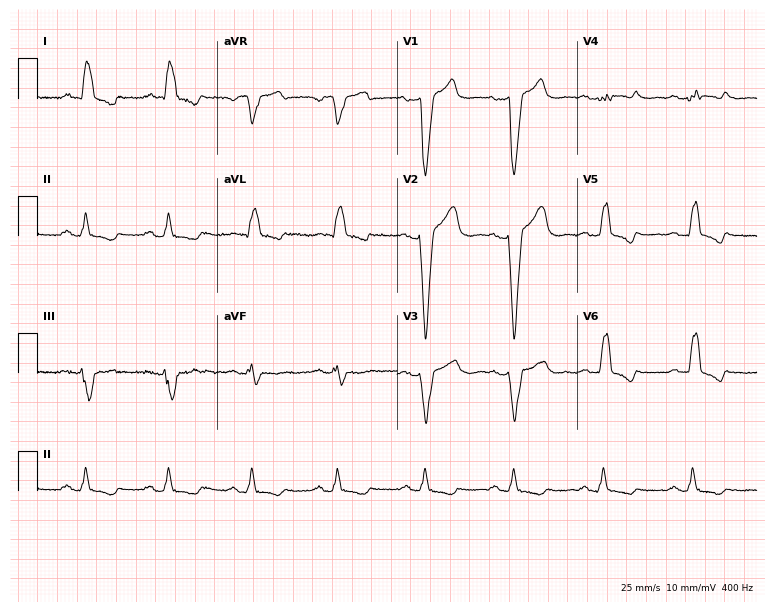
ECG (7.3-second recording at 400 Hz) — a 66-year-old female patient. Findings include left bundle branch block.